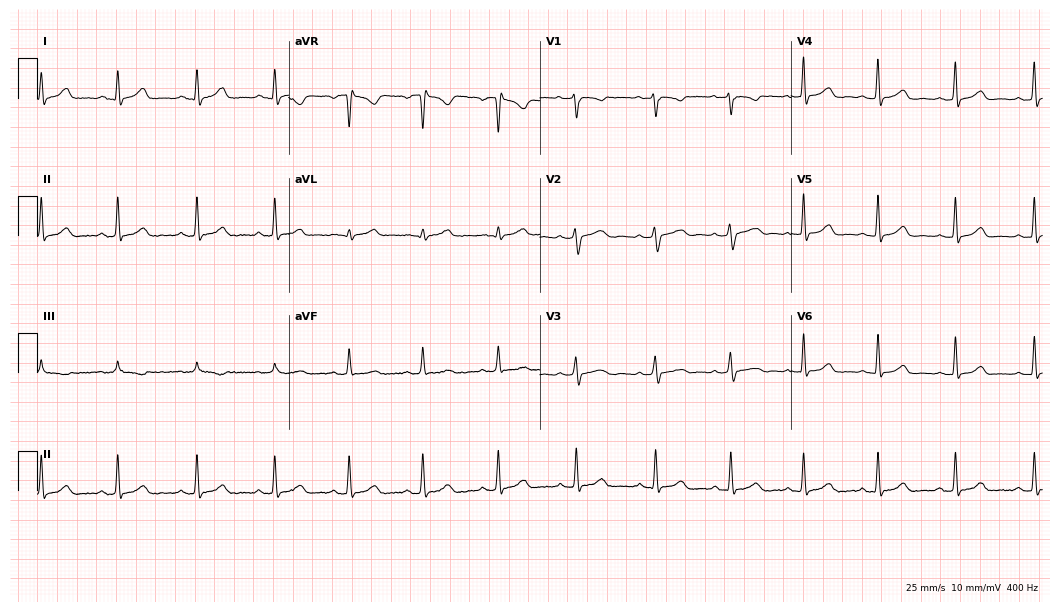
12-lead ECG from a 28-year-old female. Recorded interpretation: within normal limits.